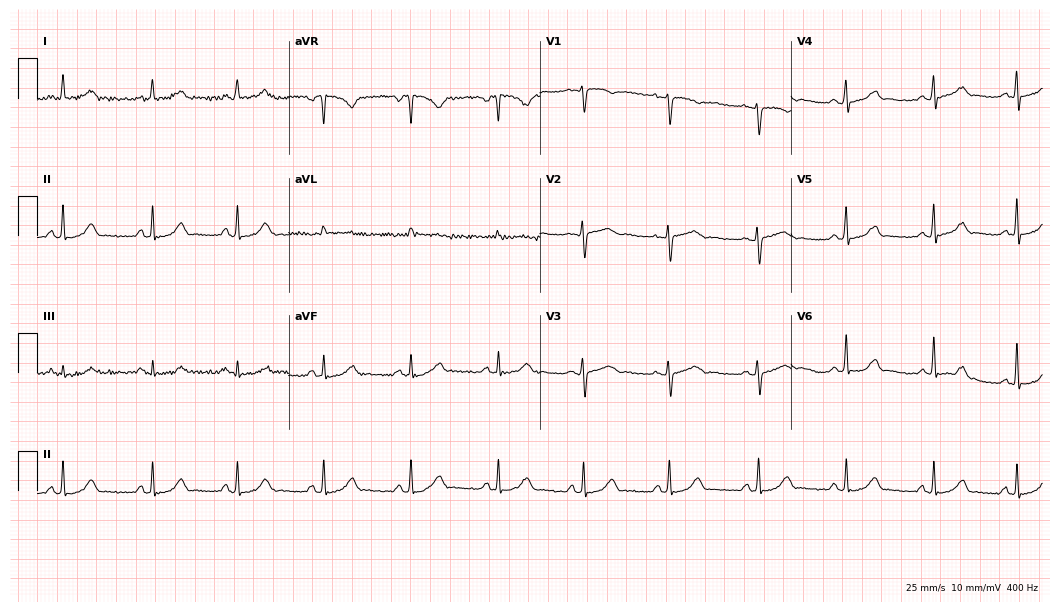
ECG — a woman, 39 years old. Labelled as a normal ECG.